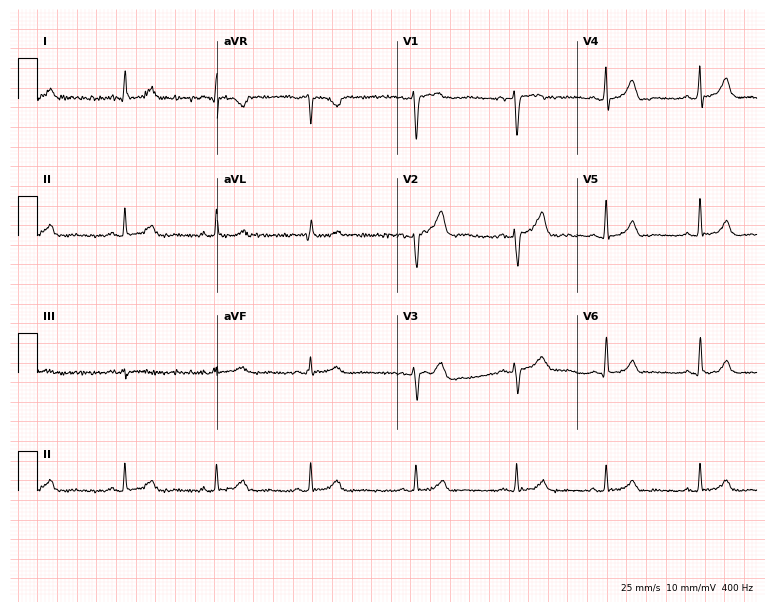
12-lead ECG from a woman, 43 years old. Labelled as a normal ECG.